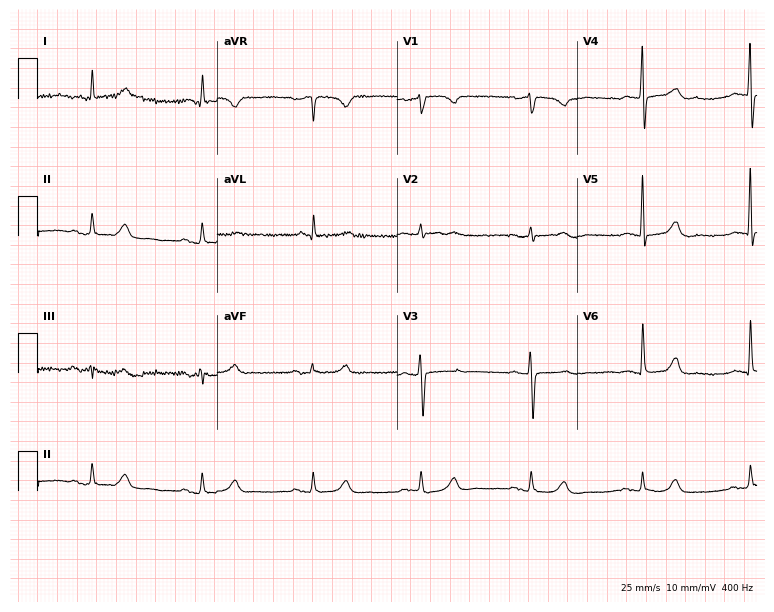
ECG (7.3-second recording at 400 Hz) — an 84-year-old female patient. Labelled as a normal ECG.